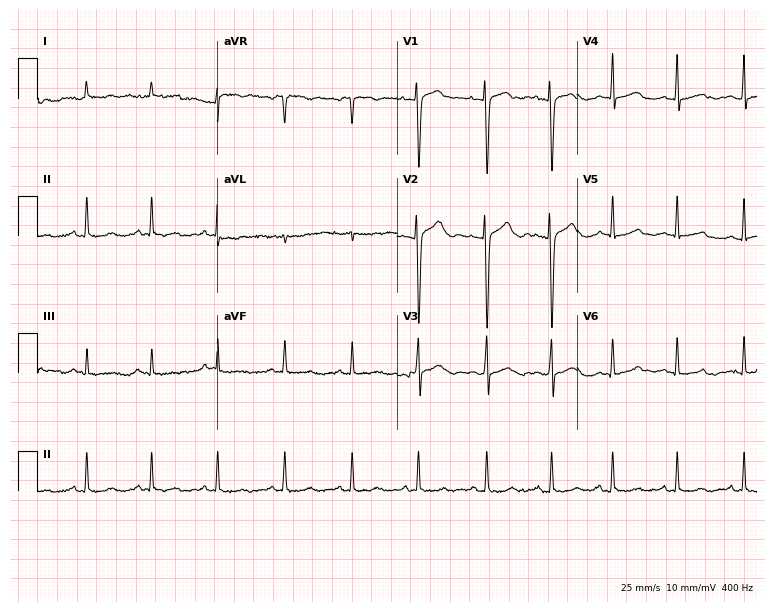
Standard 12-lead ECG recorded from a female patient, 21 years old. None of these six findings is recorded: first-degree AV block, right bundle branch block, left bundle branch block, sinus bradycardia, atrial fibrillation, sinus tachycardia.